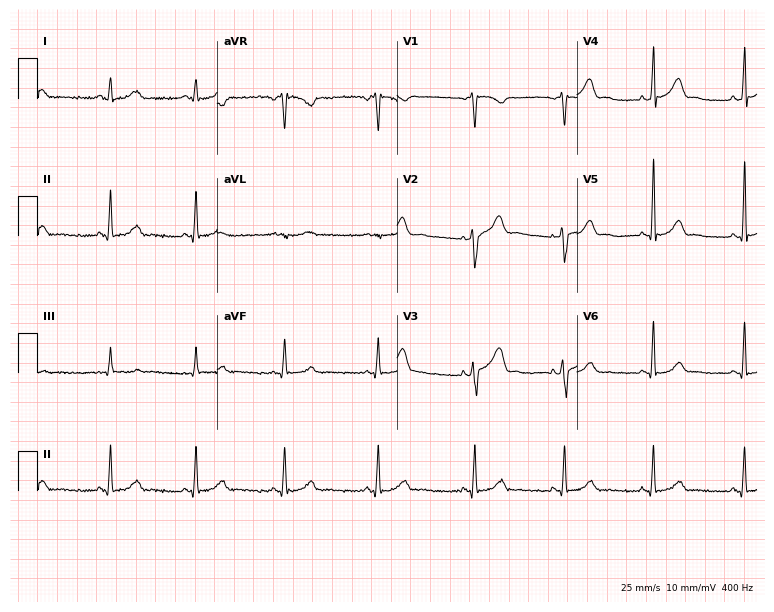
12-lead ECG from a female patient, 38 years old. Screened for six findings — first-degree AV block, right bundle branch block, left bundle branch block, sinus bradycardia, atrial fibrillation, sinus tachycardia — none is recorded. Other findings, if any, are not listed.